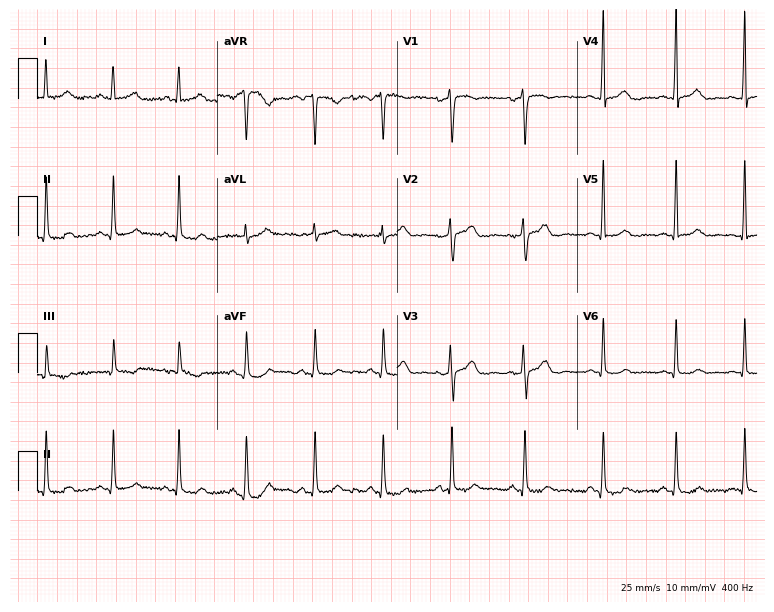
ECG (7.3-second recording at 400 Hz) — a male patient, 38 years old. Labelled as a normal ECG.